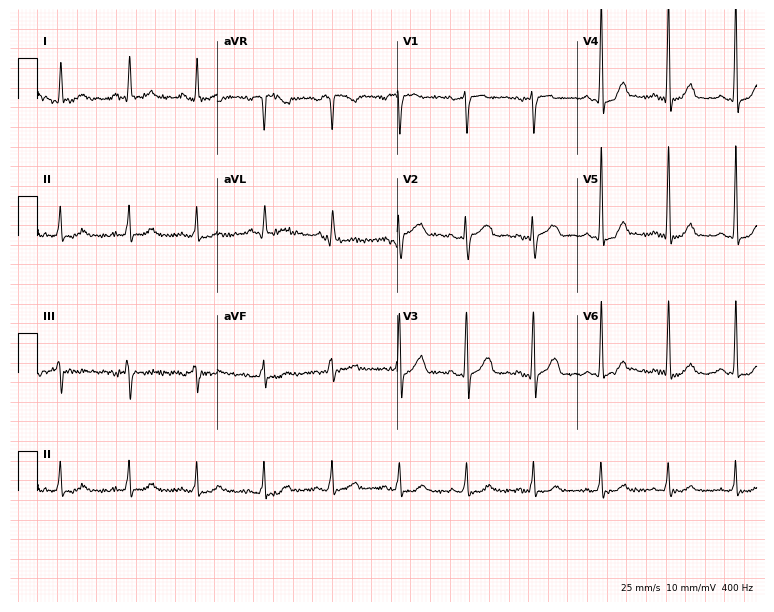
ECG — a 65-year-old female. Labelled as a normal ECG.